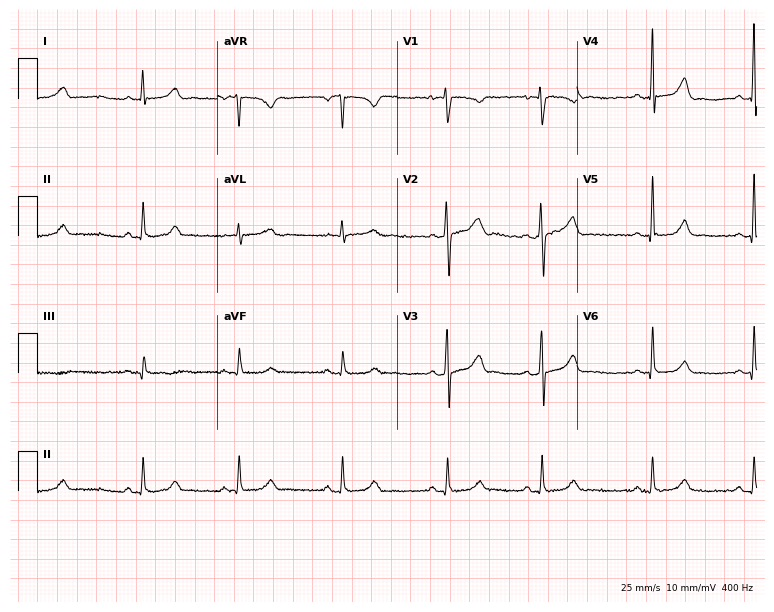
12-lead ECG from a woman, 28 years old. Labelled as a normal ECG.